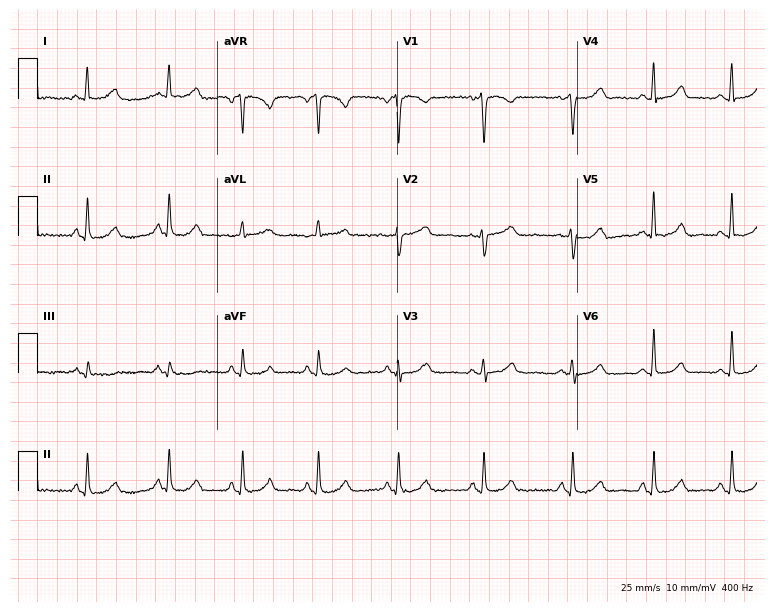
ECG (7.3-second recording at 400 Hz) — a 55-year-old woman. Labelled as a normal ECG.